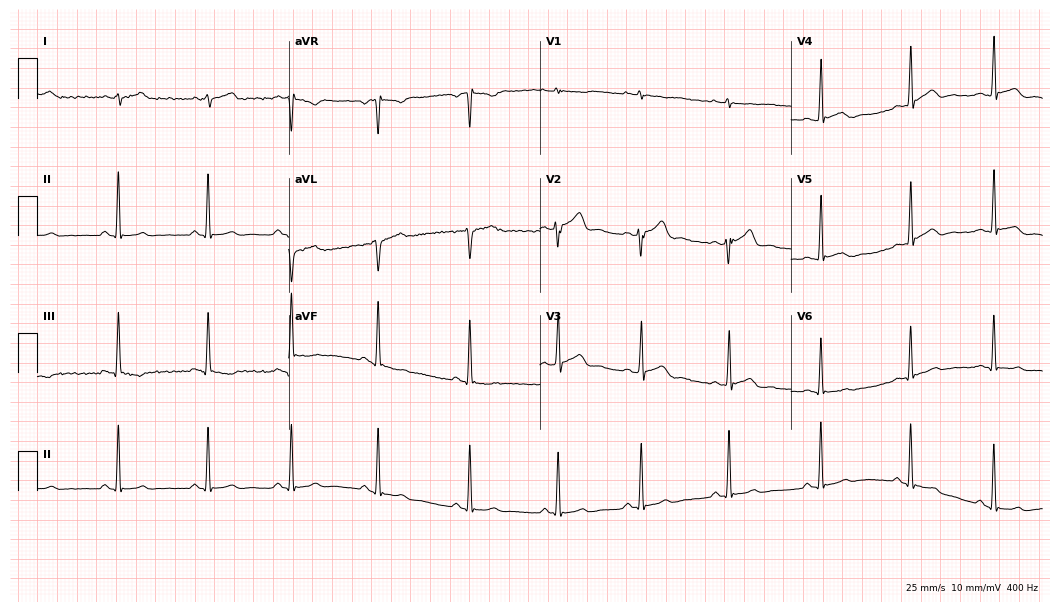
ECG (10.2-second recording at 400 Hz) — a 23-year-old male. Screened for six findings — first-degree AV block, right bundle branch block, left bundle branch block, sinus bradycardia, atrial fibrillation, sinus tachycardia — none is recorded. Only these six findings were labelled.